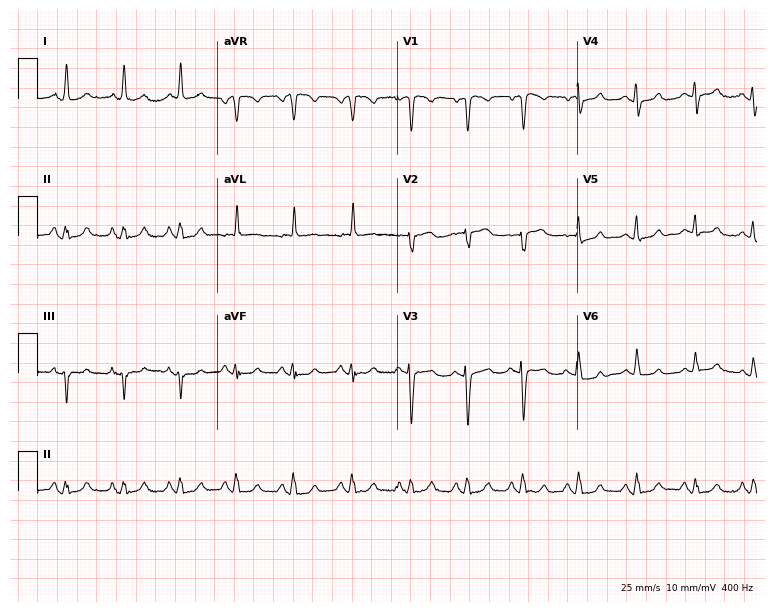
Resting 12-lead electrocardiogram. Patient: a female, 68 years old. The tracing shows sinus tachycardia (a sinus rate of 100 beats per minute or more).